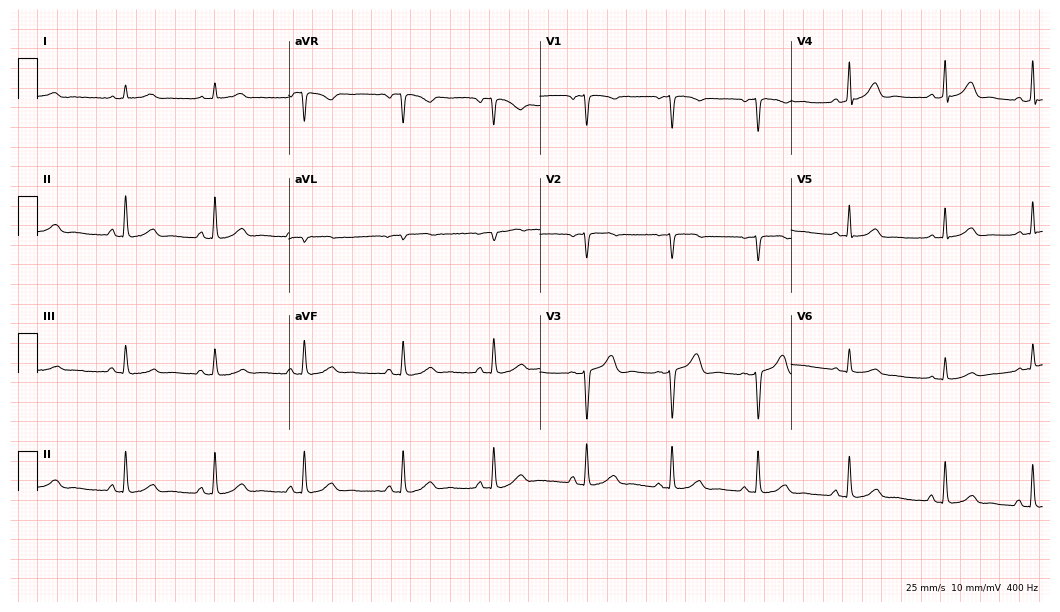
12-lead ECG from a 44-year-old woman (10.2-second recording at 400 Hz). No first-degree AV block, right bundle branch block, left bundle branch block, sinus bradycardia, atrial fibrillation or sinus tachycardia recorded for this tracing. Findings outside these six are not listed.